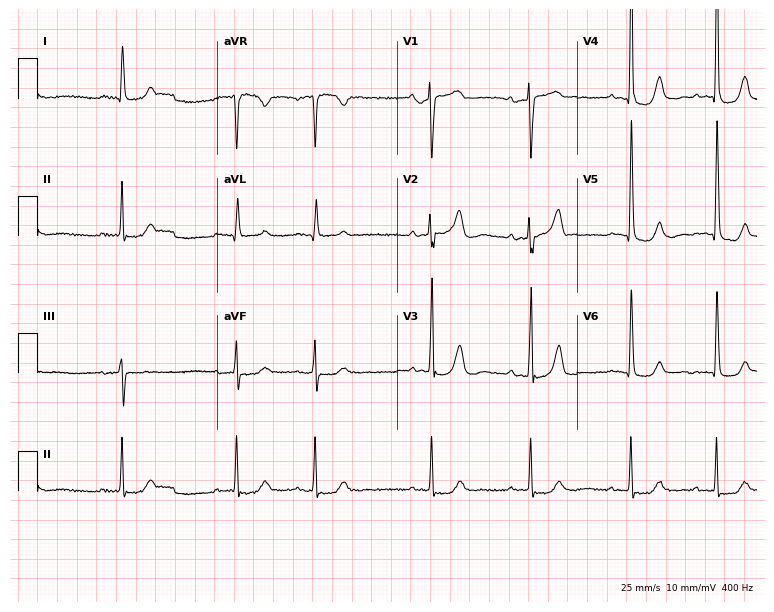
Electrocardiogram (7.3-second recording at 400 Hz), a female patient, 80 years old. Overall reading on record: normal ECG.